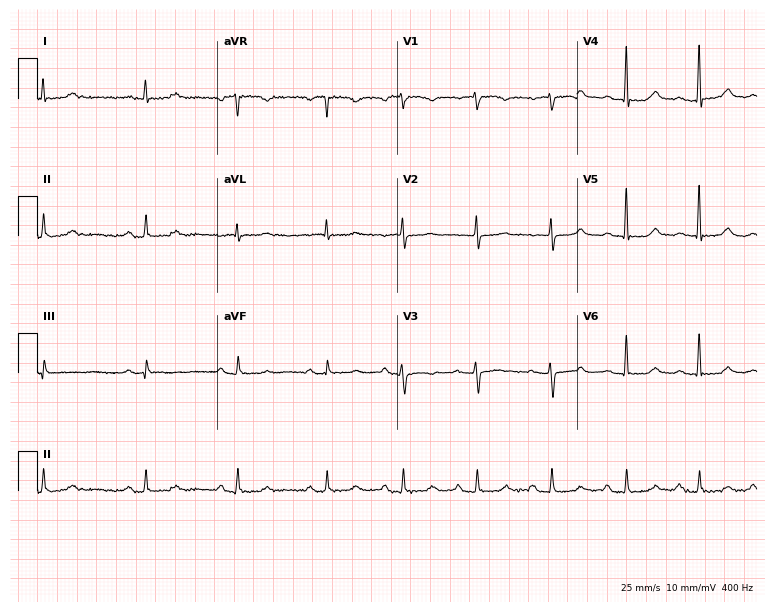
12-lead ECG from a female patient, 71 years old. Recorded interpretation: within normal limits.